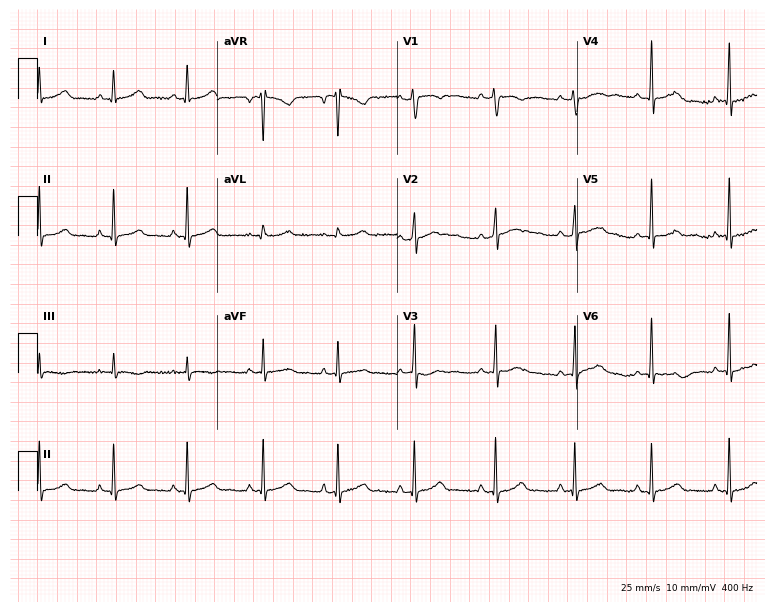
Electrocardiogram, a female, 21 years old. Overall reading on record: normal ECG.